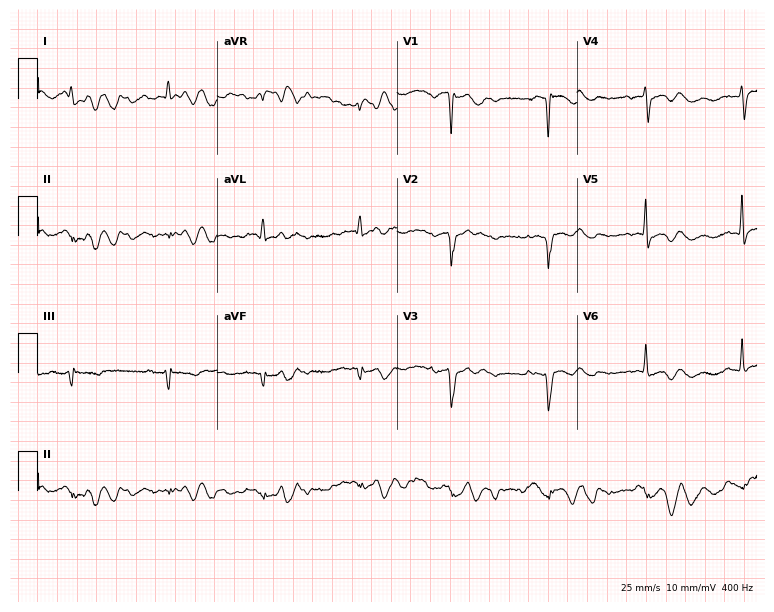
ECG (7.3-second recording at 400 Hz) — a male, 73 years old. Screened for six findings — first-degree AV block, right bundle branch block (RBBB), left bundle branch block (LBBB), sinus bradycardia, atrial fibrillation (AF), sinus tachycardia — none is recorded. Findings outside these six are not listed.